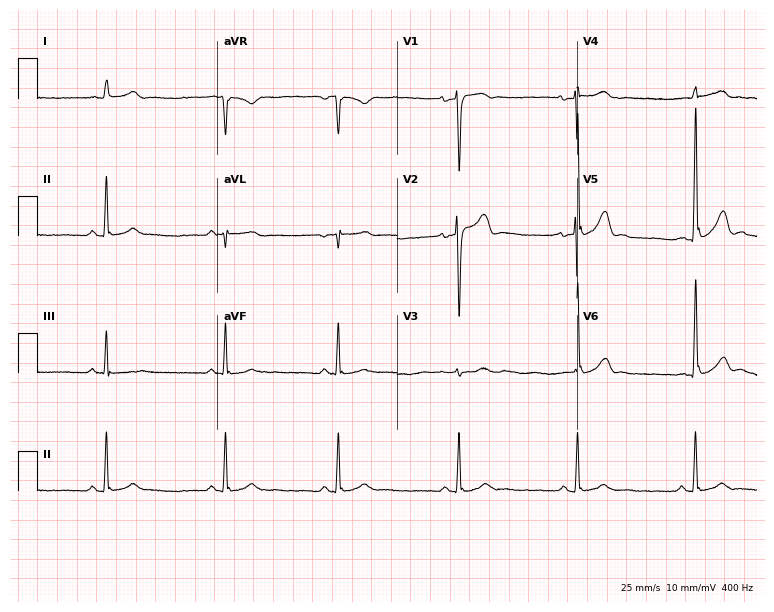
Standard 12-lead ECG recorded from a 37-year-old male patient. The tracing shows sinus bradycardia (a sinus rate of 50 beats per minute or less).